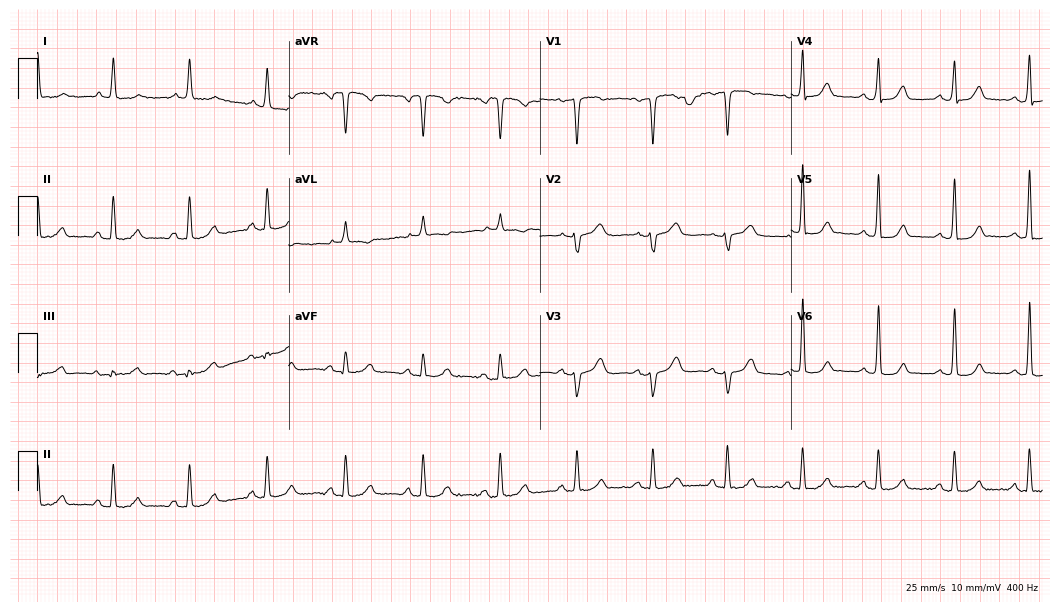
Electrocardiogram, a female, 75 years old. Overall reading on record: normal ECG.